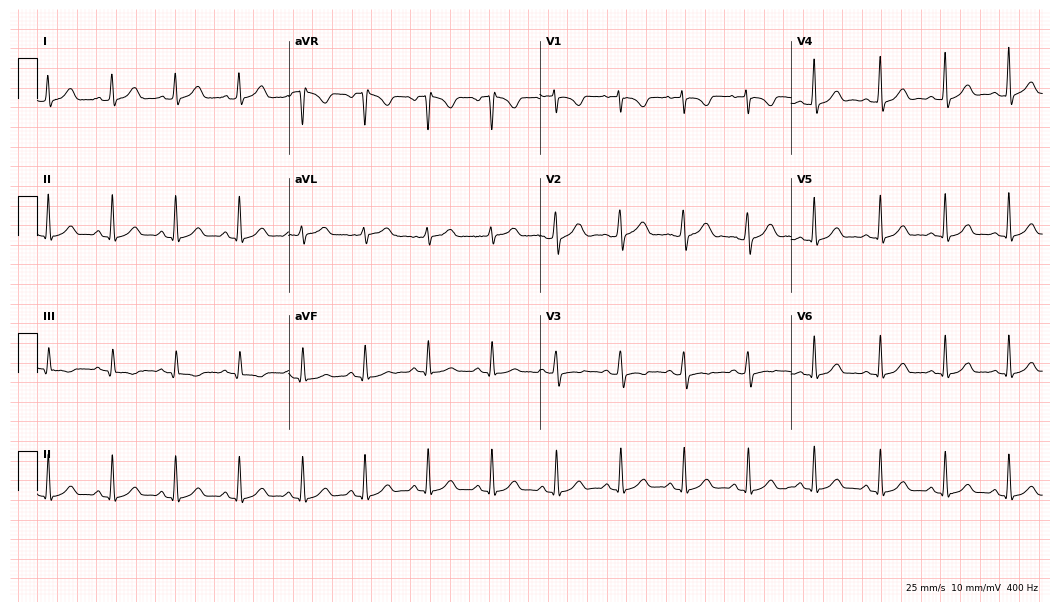
Electrocardiogram (10.2-second recording at 400 Hz), a woman, 22 years old. Overall reading on record: normal ECG.